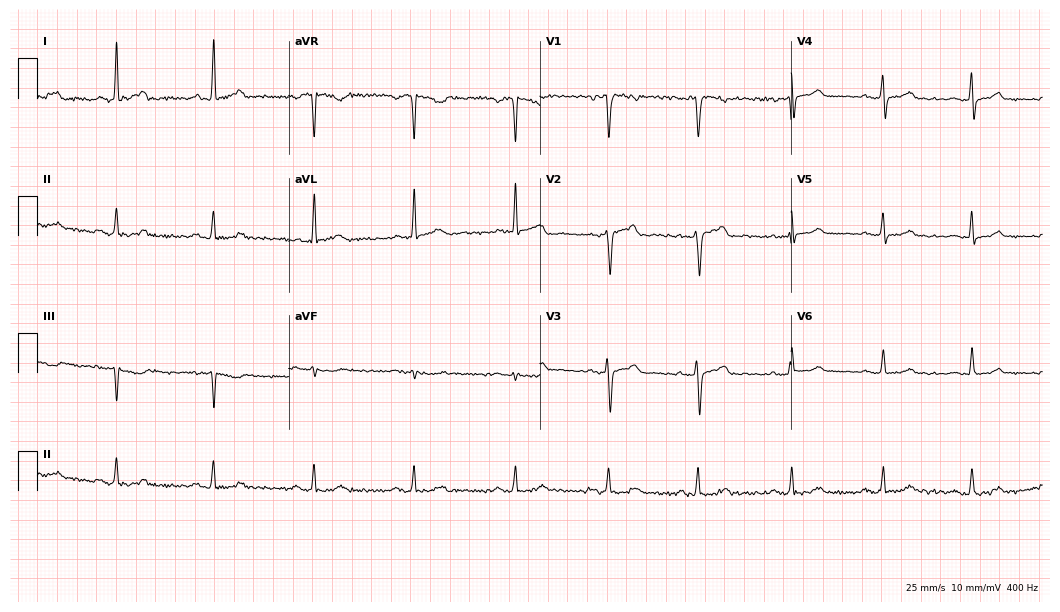
Resting 12-lead electrocardiogram. Patient: a 46-year-old female. None of these six findings is recorded: first-degree AV block, right bundle branch block (RBBB), left bundle branch block (LBBB), sinus bradycardia, atrial fibrillation (AF), sinus tachycardia.